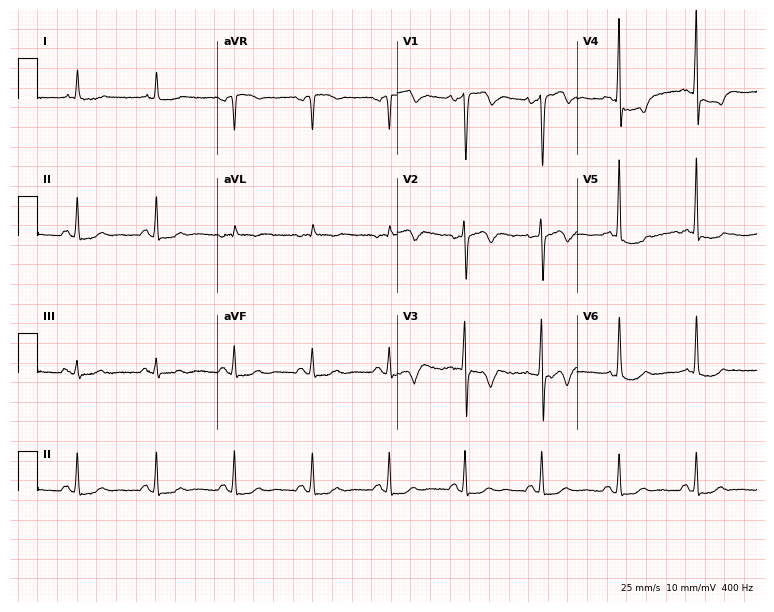
12-lead ECG from a male, 65 years old (7.3-second recording at 400 Hz). No first-degree AV block, right bundle branch block (RBBB), left bundle branch block (LBBB), sinus bradycardia, atrial fibrillation (AF) or sinus tachycardia recorded for this tracing.